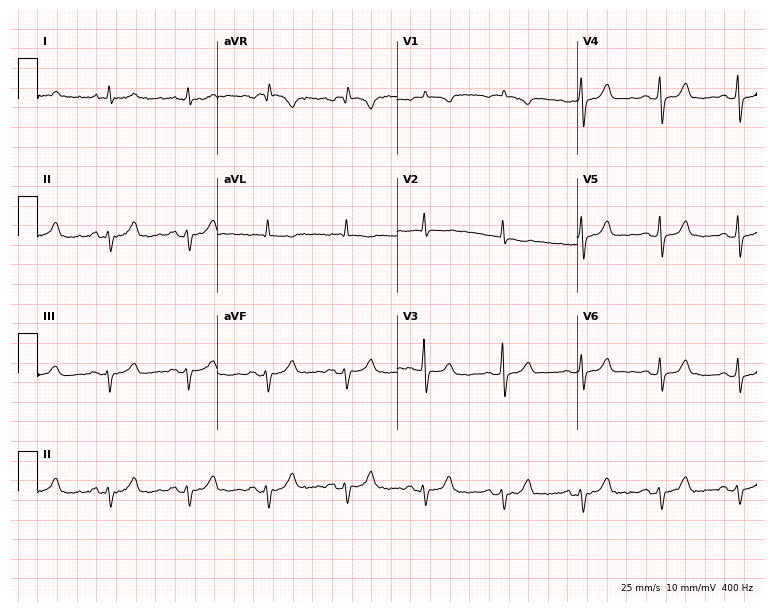
Standard 12-lead ECG recorded from a female patient, 73 years old (7.3-second recording at 400 Hz). None of these six findings is recorded: first-degree AV block, right bundle branch block, left bundle branch block, sinus bradycardia, atrial fibrillation, sinus tachycardia.